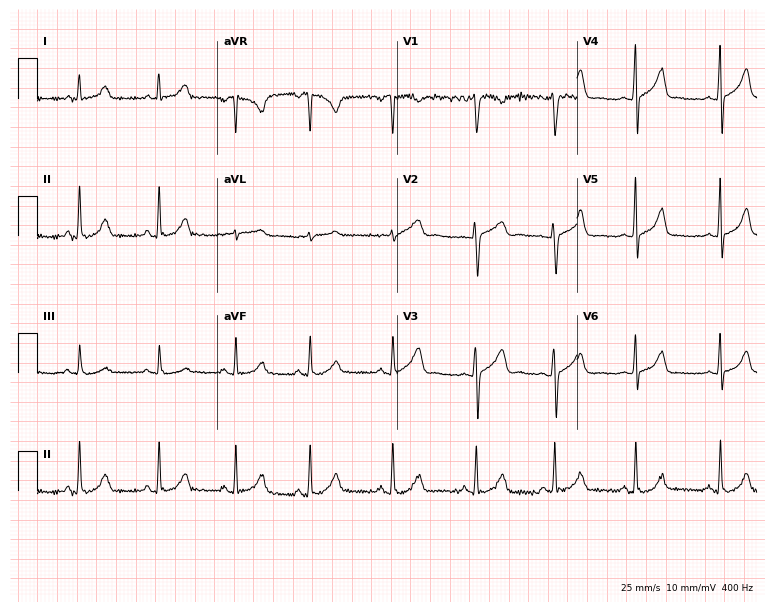
Resting 12-lead electrocardiogram (7.3-second recording at 400 Hz). Patient: an 18-year-old female. None of these six findings is recorded: first-degree AV block, right bundle branch block, left bundle branch block, sinus bradycardia, atrial fibrillation, sinus tachycardia.